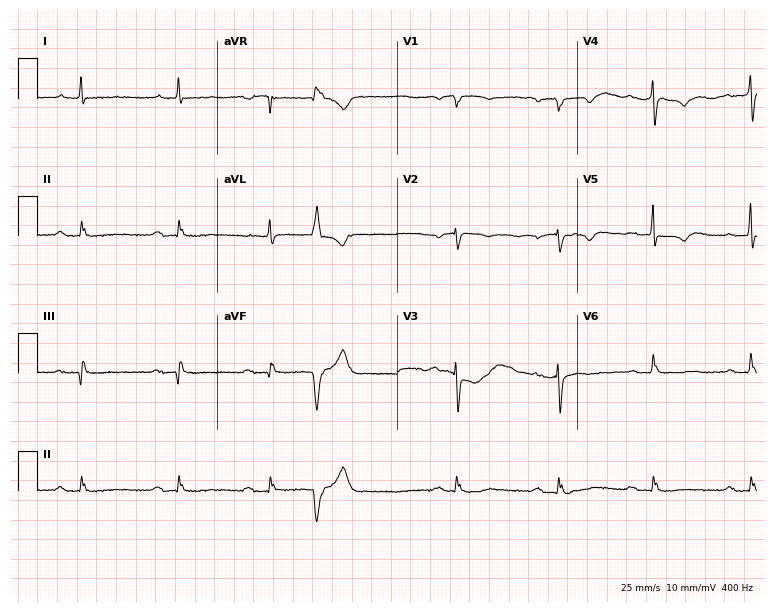
Resting 12-lead electrocardiogram (7.3-second recording at 400 Hz). Patient: a man, 75 years old. None of these six findings is recorded: first-degree AV block, right bundle branch block, left bundle branch block, sinus bradycardia, atrial fibrillation, sinus tachycardia.